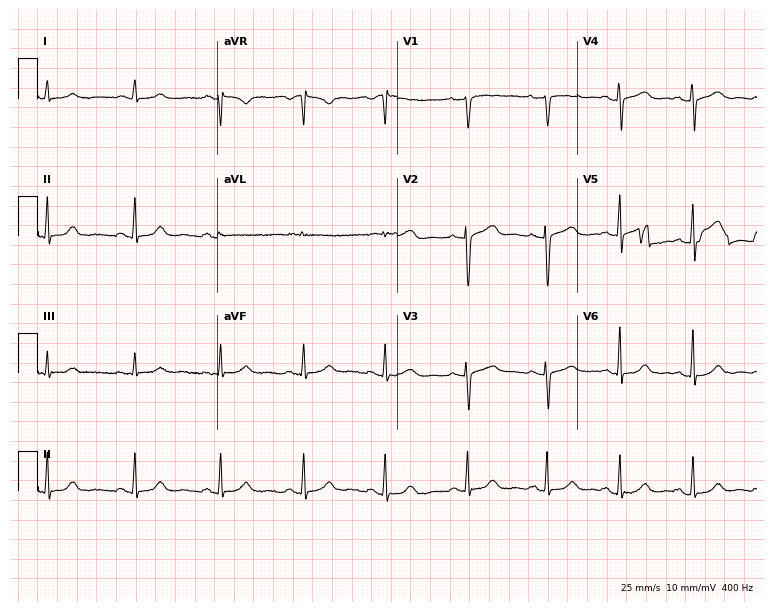
ECG — a 48-year-old woman. Labelled as a normal ECG.